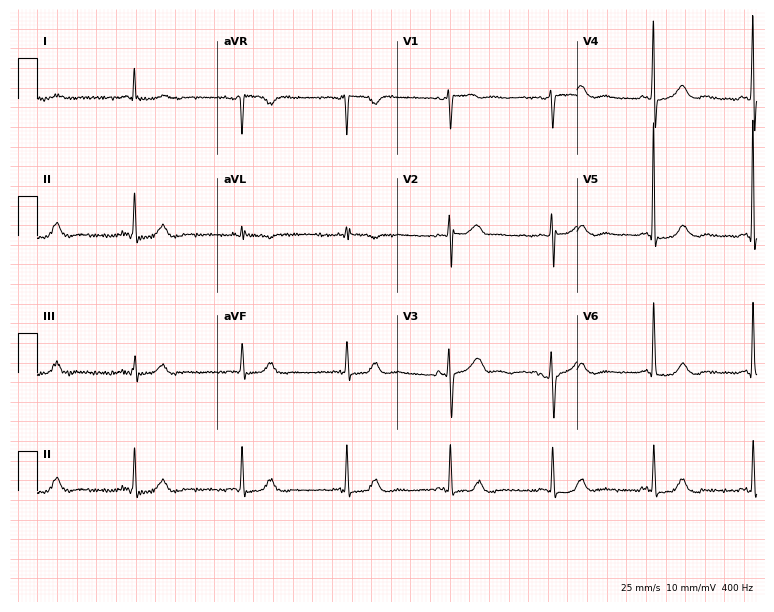
ECG — a 79-year-old female patient. Labelled as a normal ECG.